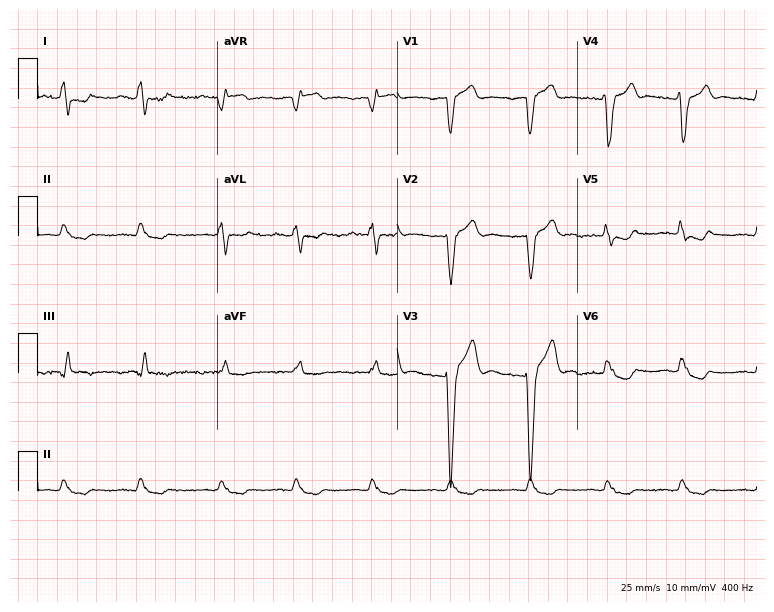
ECG — an 88-year-old male. Screened for six findings — first-degree AV block, right bundle branch block, left bundle branch block, sinus bradycardia, atrial fibrillation, sinus tachycardia — none is recorded. Findings outside these six are not listed.